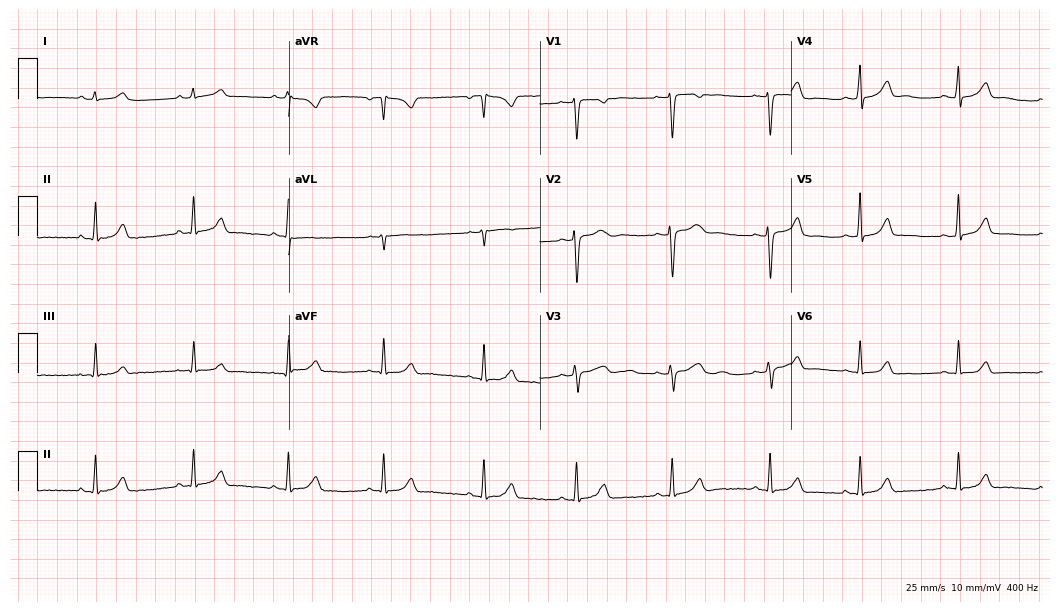
Resting 12-lead electrocardiogram (10.2-second recording at 400 Hz). Patient: a 39-year-old woman. Read as a normal ECG.